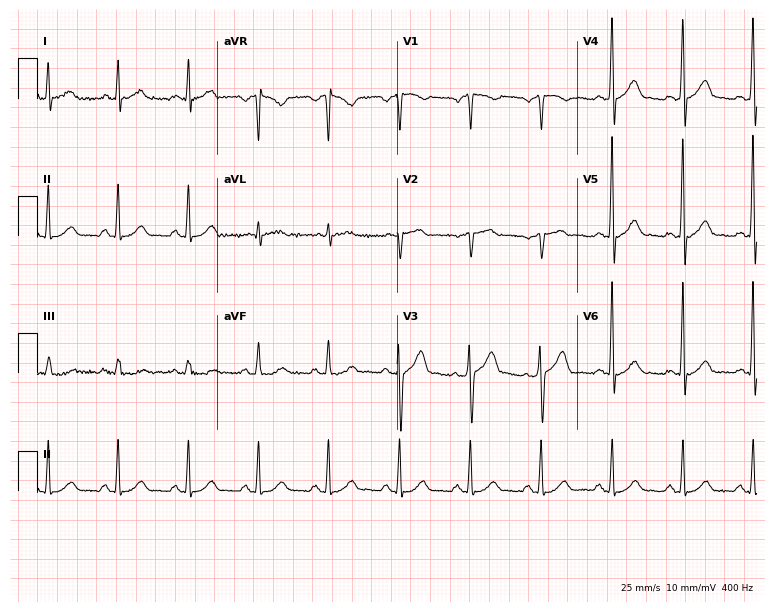
Electrocardiogram, a 61-year-old male patient. Overall reading on record: normal ECG.